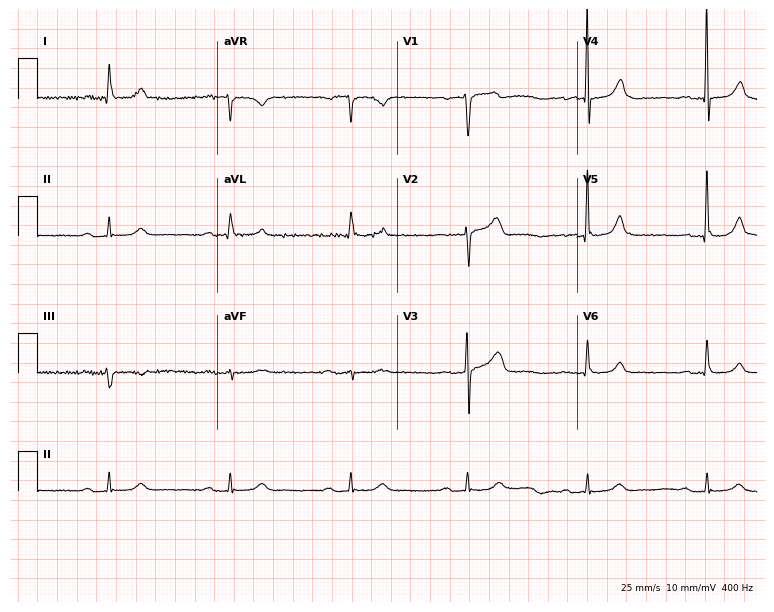
Standard 12-lead ECG recorded from a 73-year-old male patient. The tracing shows sinus bradycardia (a sinus rate of 50 beats per minute or less).